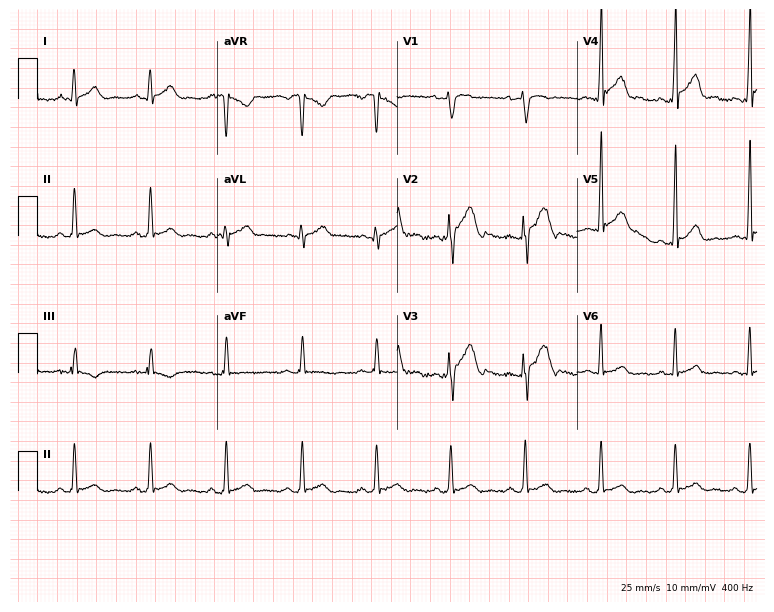
12-lead ECG from a 26-year-old male patient. Labelled as a normal ECG.